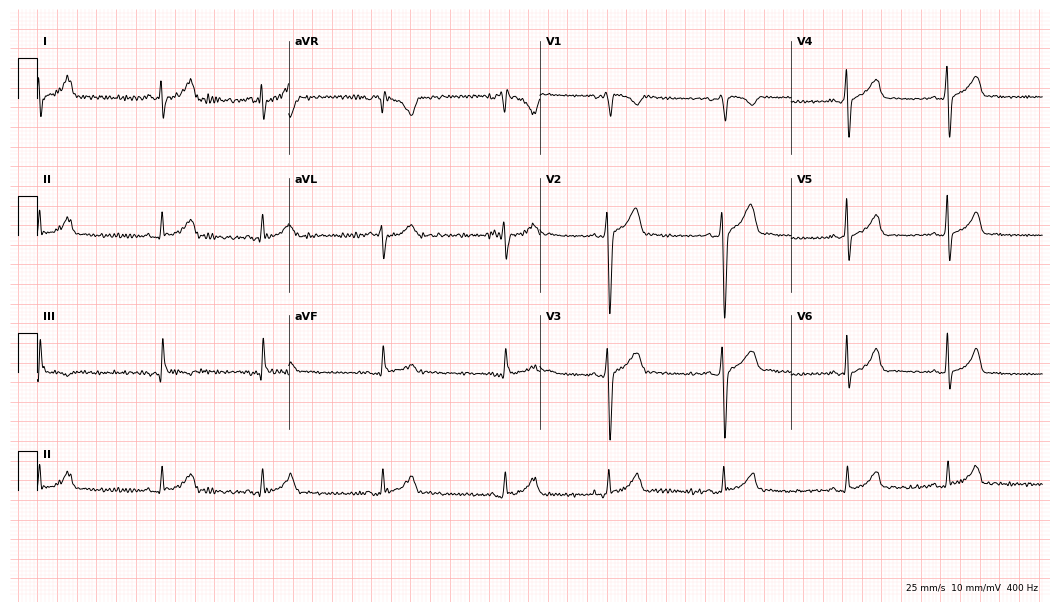
12-lead ECG (10.2-second recording at 400 Hz) from a 30-year-old man. Screened for six findings — first-degree AV block, right bundle branch block, left bundle branch block, sinus bradycardia, atrial fibrillation, sinus tachycardia — none is recorded. Other findings, if any, are not listed.